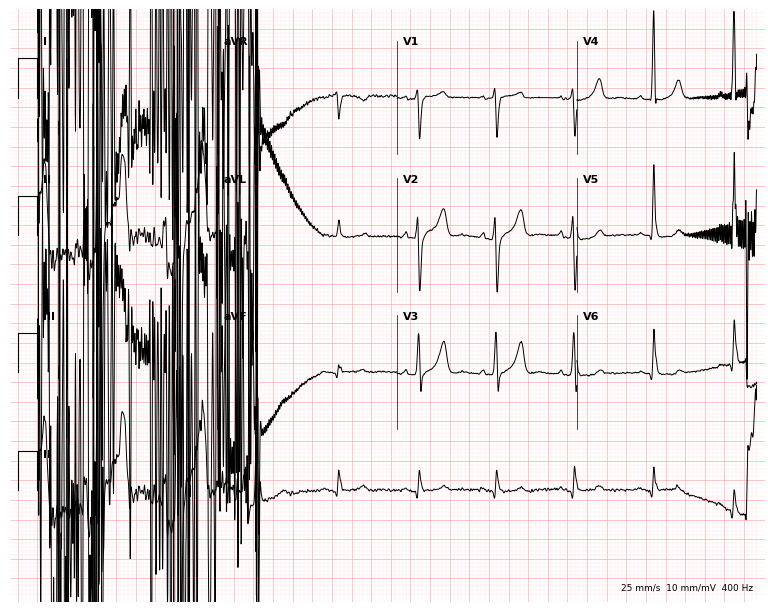
Standard 12-lead ECG recorded from a man, 84 years old (7.3-second recording at 400 Hz). None of these six findings is recorded: first-degree AV block, right bundle branch block, left bundle branch block, sinus bradycardia, atrial fibrillation, sinus tachycardia. Other findings, if any, are not listed.